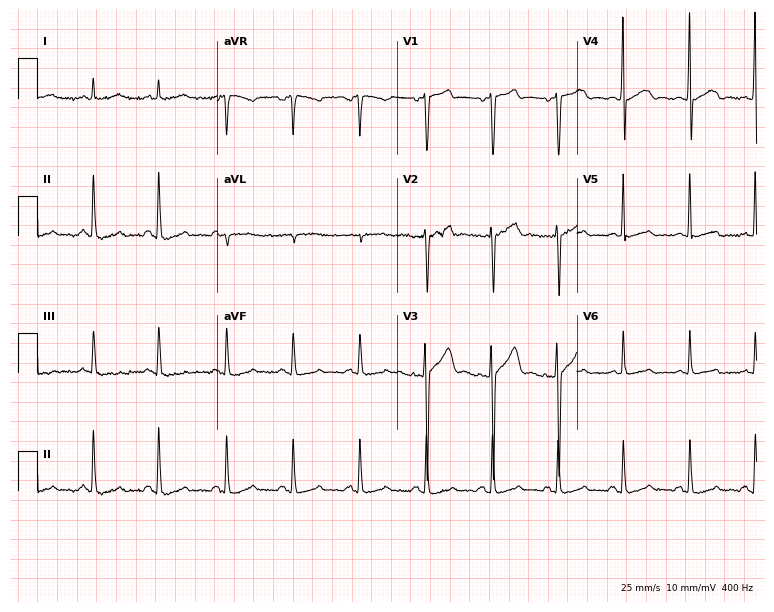
Resting 12-lead electrocardiogram. Patient: a 43-year-old male. Read as a normal ECG.